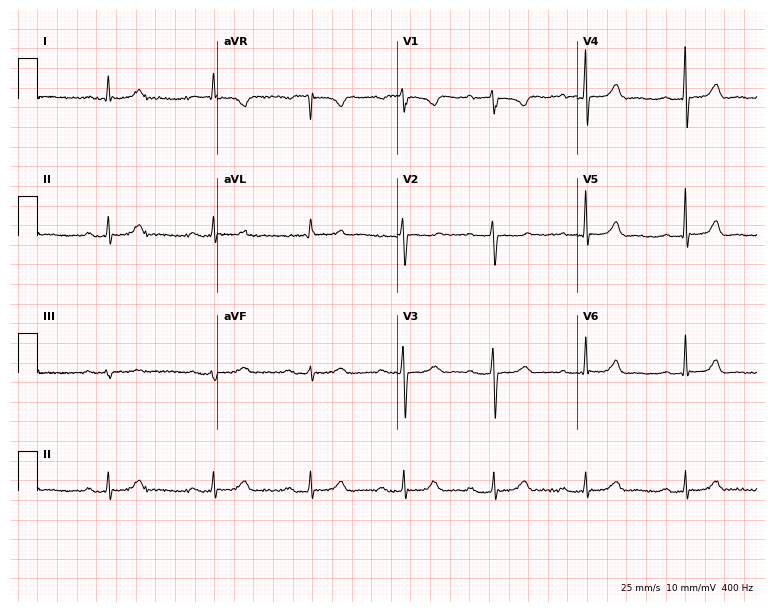
Electrocardiogram, a woman, 79 years old. Interpretation includes first-degree AV block.